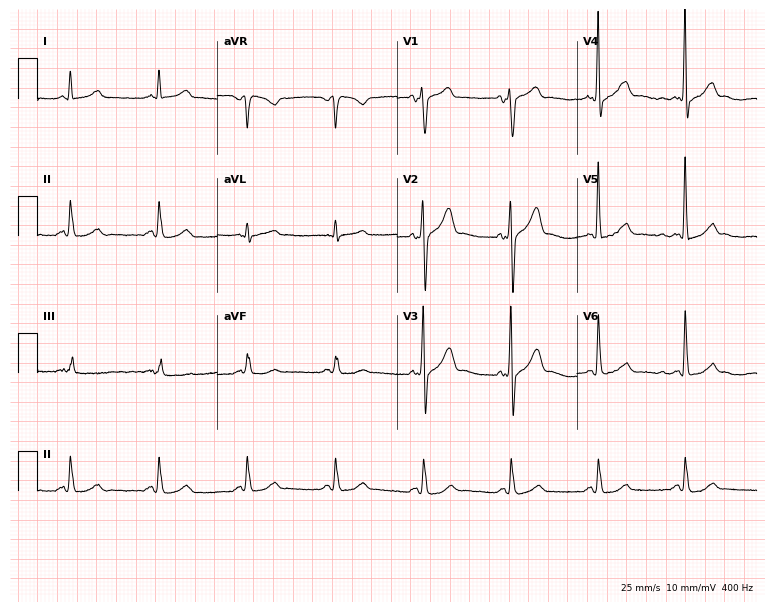
12-lead ECG (7.3-second recording at 400 Hz) from a man, 84 years old. Labelled as a normal ECG.